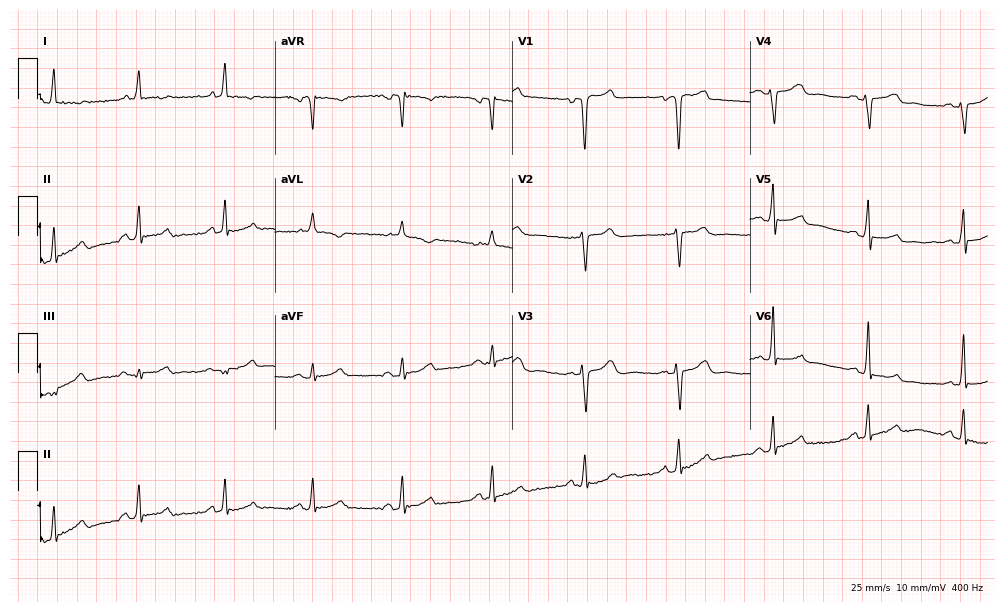
Standard 12-lead ECG recorded from a man, 80 years old. Read as a normal ECG.